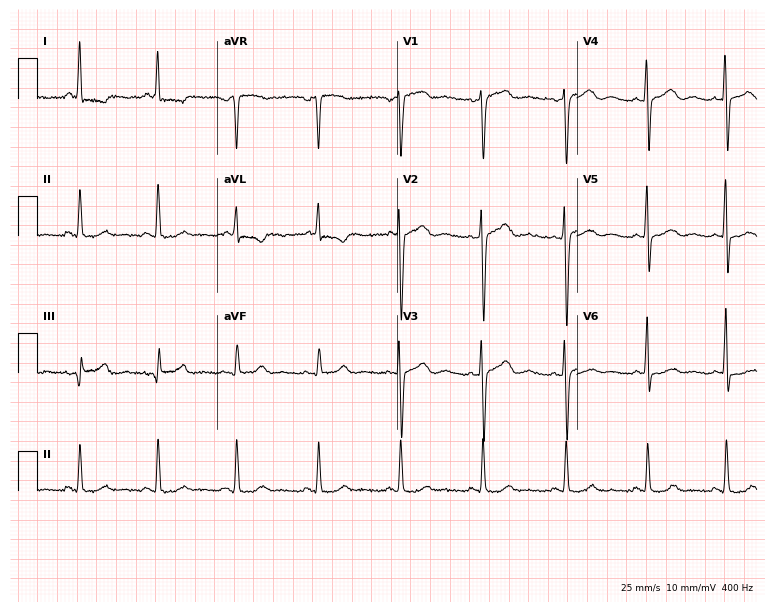
Electrocardiogram, a female patient, 45 years old. Of the six screened findings (first-degree AV block, right bundle branch block (RBBB), left bundle branch block (LBBB), sinus bradycardia, atrial fibrillation (AF), sinus tachycardia), none is recorded. Only these six findings were labelled.